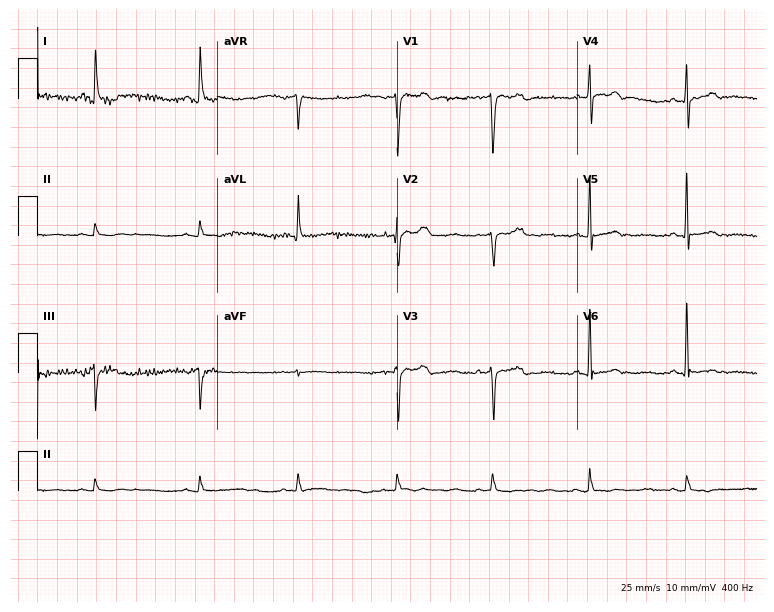
12-lead ECG from a 20-year-old female patient (7.3-second recording at 400 Hz). No first-degree AV block, right bundle branch block (RBBB), left bundle branch block (LBBB), sinus bradycardia, atrial fibrillation (AF) or sinus tachycardia recorded for this tracing. Other findings, if any, are not listed.